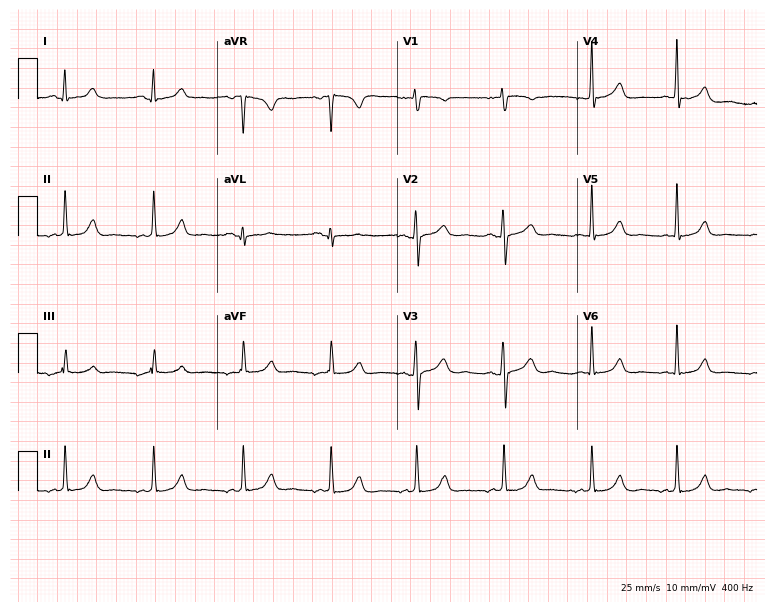
12-lead ECG from a 24-year-old female. Labelled as a normal ECG.